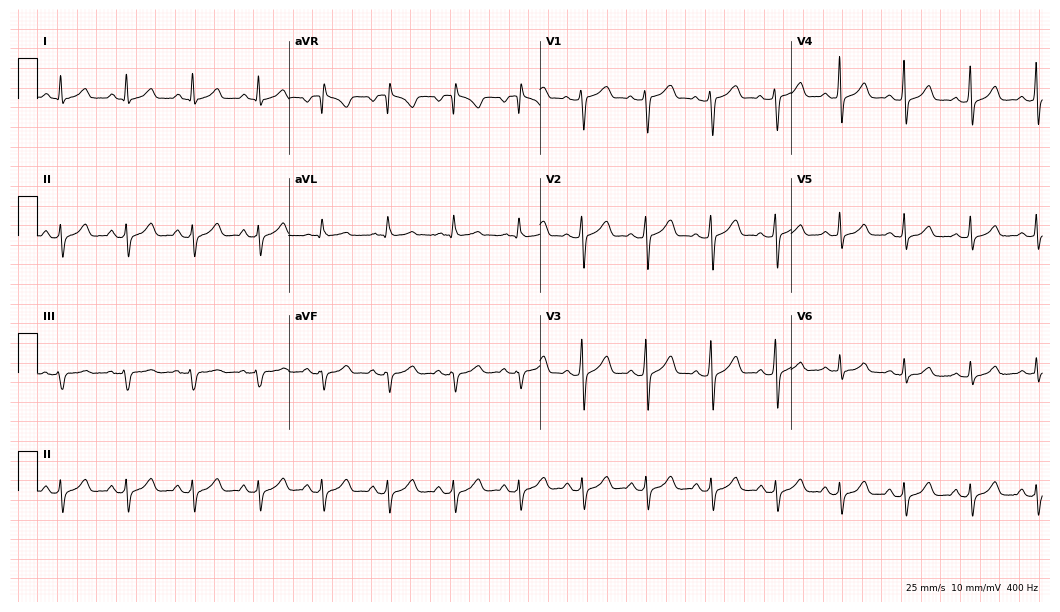
Resting 12-lead electrocardiogram (10.2-second recording at 400 Hz). Patient: a 48-year-old female. None of these six findings is recorded: first-degree AV block, right bundle branch block, left bundle branch block, sinus bradycardia, atrial fibrillation, sinus tachycardia.